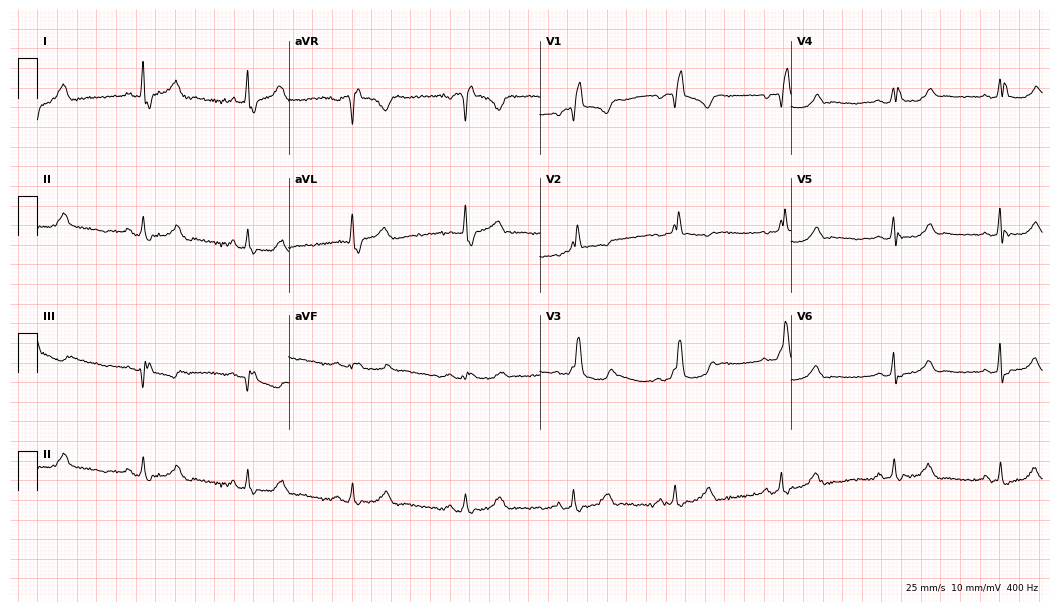
Resting 12-lead electrocardiogram (10.2-second recording at 400 Hz). Patient: a 61-year-old female. None of these six findings is recorded: first-degree AV block, right bundle branch block, left bundle branch block, sinus bradycardia, atrial fibrillation, sinus tachycardia.